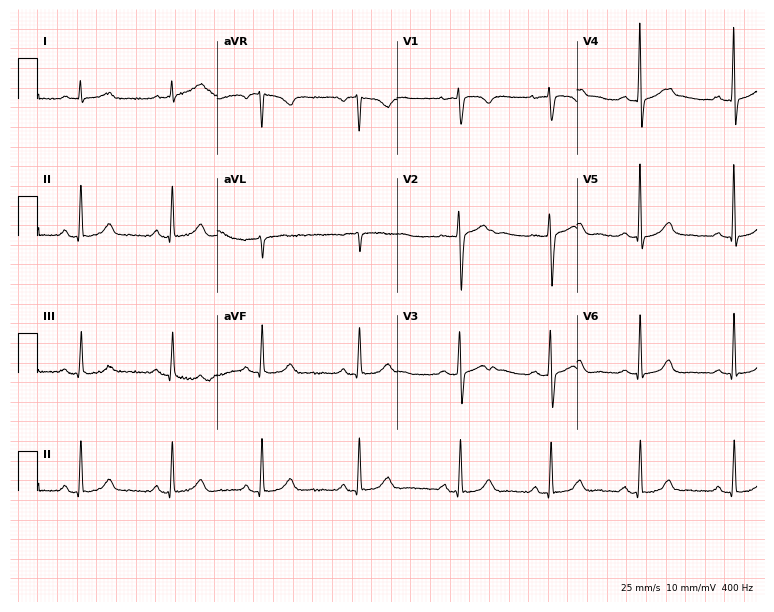
12-lead ECG from a female, 37 years old (7.3-second recording at 400 Hz). Recorded interpretation: within normal limits.